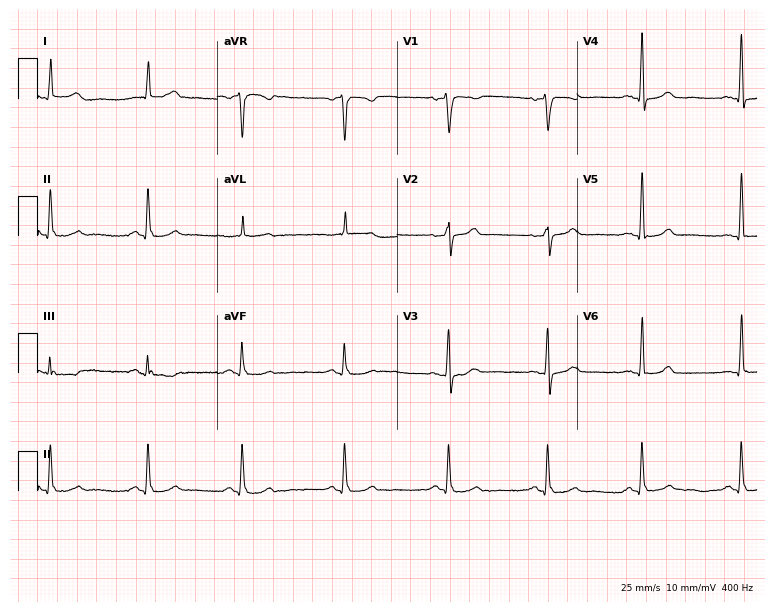
Standard 12-lead ECG recorded from a male, 47 years old (7.3-second recording at 400 Hz). Read as a normal ECG.